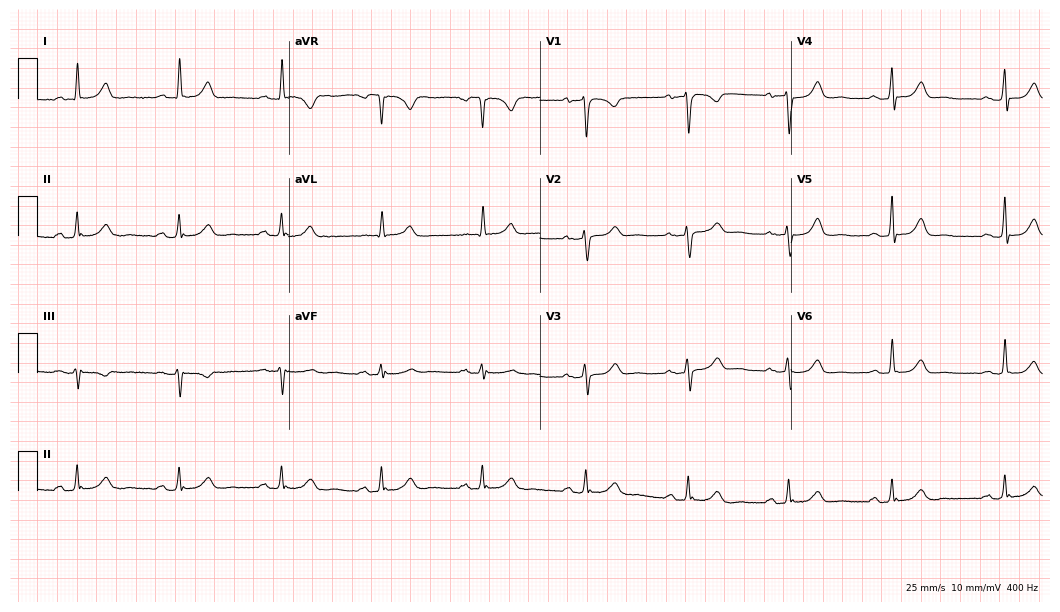
Standard 12-lead ECG recorded from a 61-year-old female patient. None of these six findings is recorded: first-degree AV block, right bundle branch block, left bundle branch block, sinus bradycardia, atrial fibrillation, sinus tachycardia.